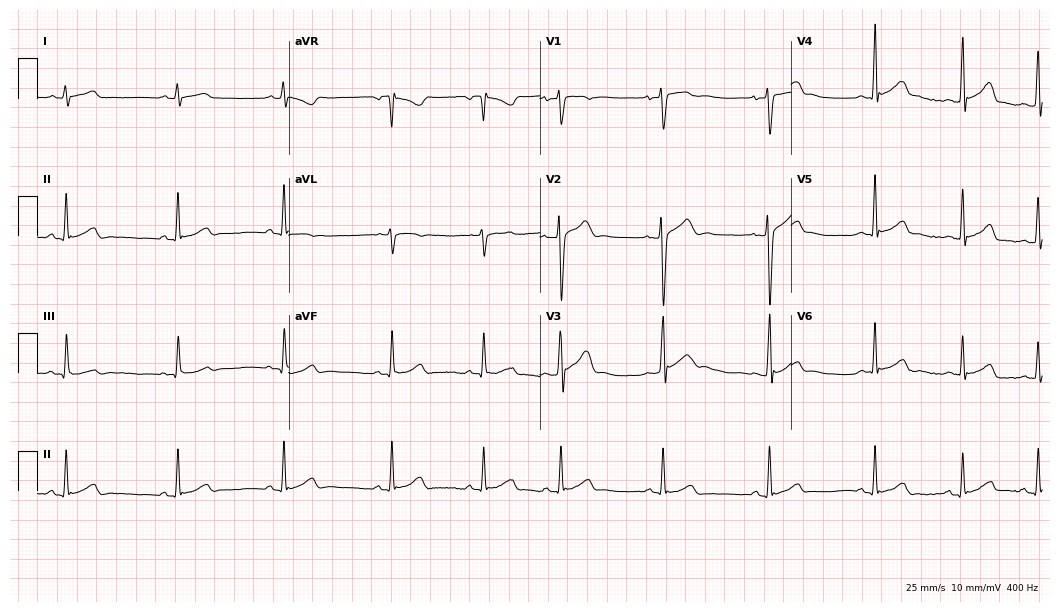
12-lead ECG from a male, 17 years old. Screened for six findings — first-degree AV block, right bundle branch block, left bundle branch block, sinus bradycardia, atrial fibrillation, sinus tachycardia — none is recorded. Other findings, if any, are not listed.